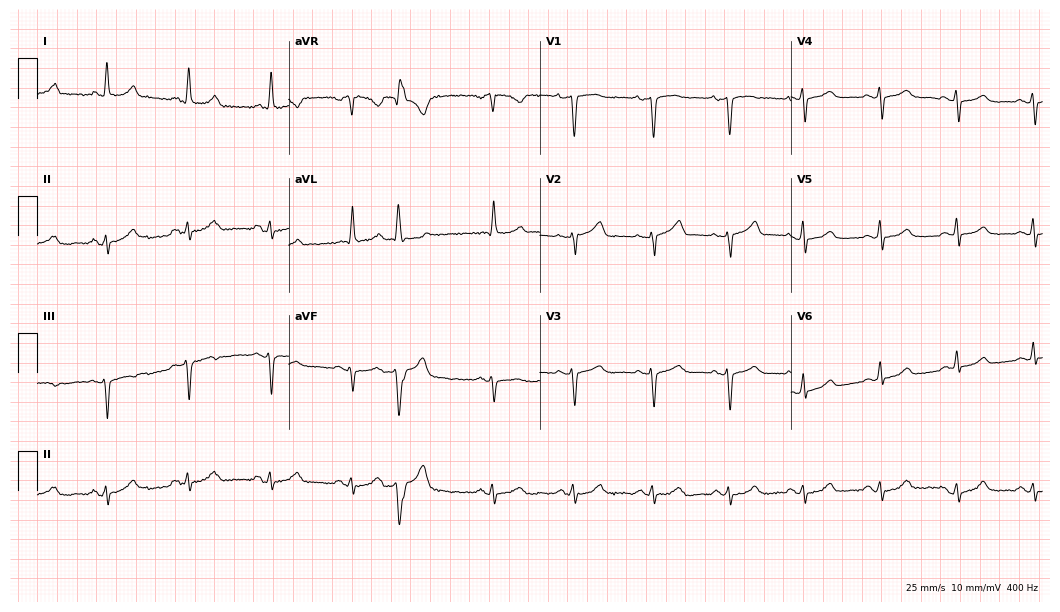
Standard 12-lead ECG recorded from a 69-year-old woman. None of these six findings is recorded: first-degree AV block, right bundle branch block, left bundle branch block, sinus bradycardia, atrial fibrillation, sinus tachycardia. Only these six findings were labelled.